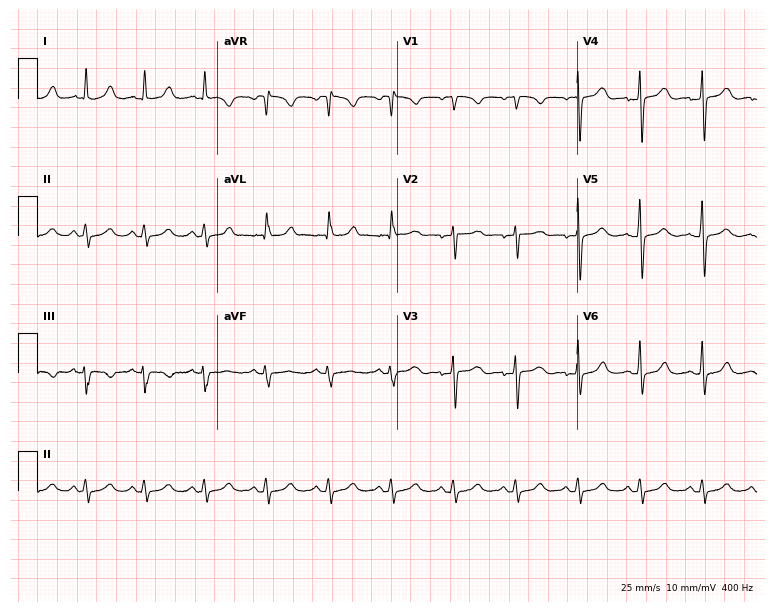
Electrocardiogram, a 48-year-old female. Overall reading on record: normal ECG.